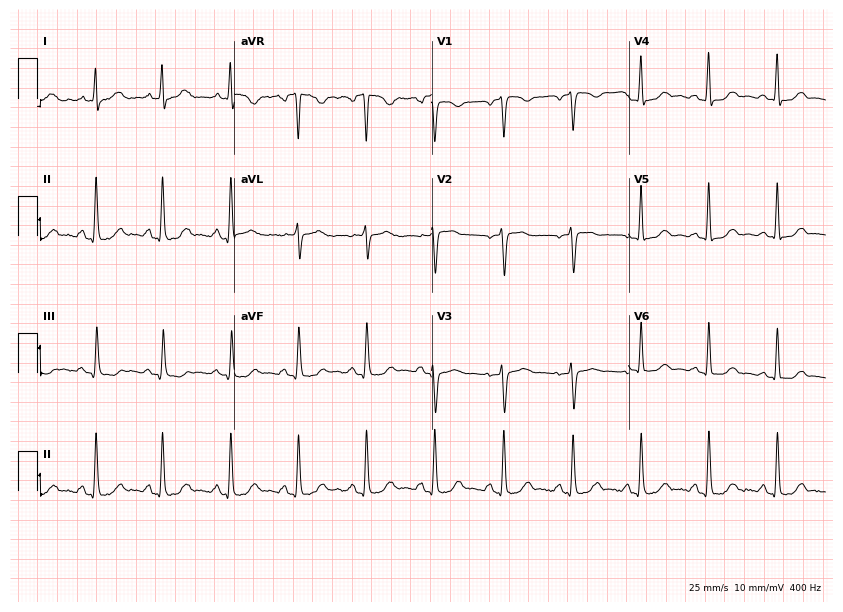
Electrocardiogram, a woman, 50 years old. Overall reading on record: normal ECG.